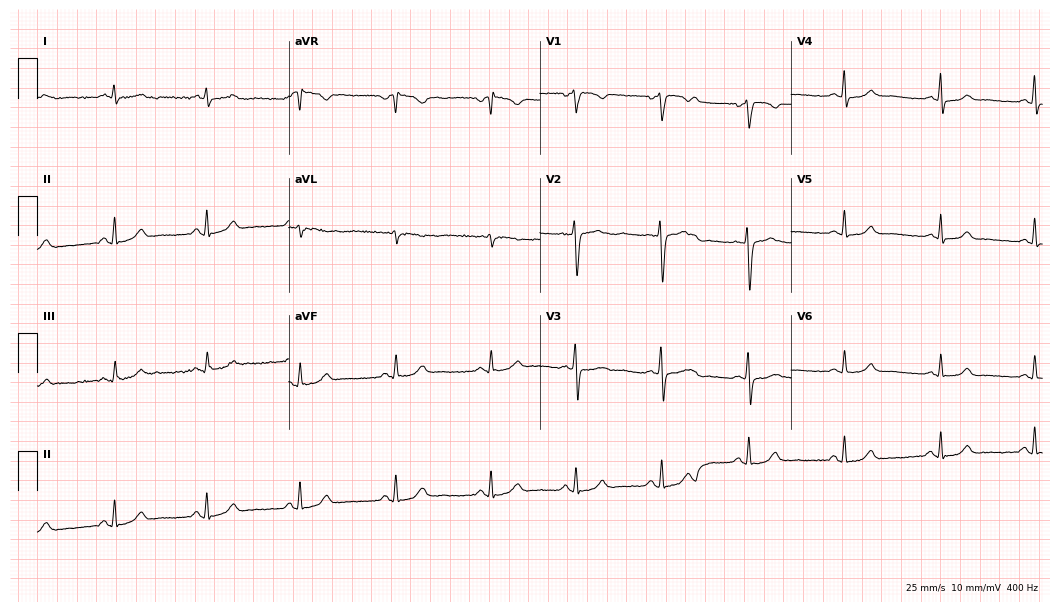
Standard 12-lead ECG recorded from a 33-year-old woman. Read as a normal ECG.